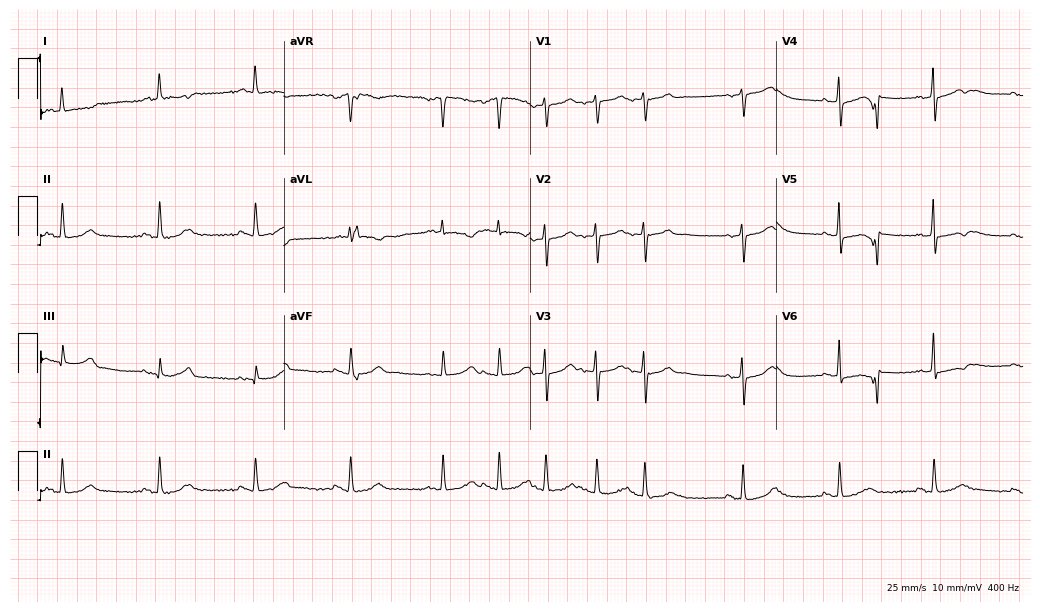
ECG — a female patient, 65 years old. Screened for six findings — first-degree AV block, right bundle branch block (RBBB), left bundle branch block (LBBB), sinus bradycardia, atrial fibrillation (AF), sinus tachycardia — none is recorded.